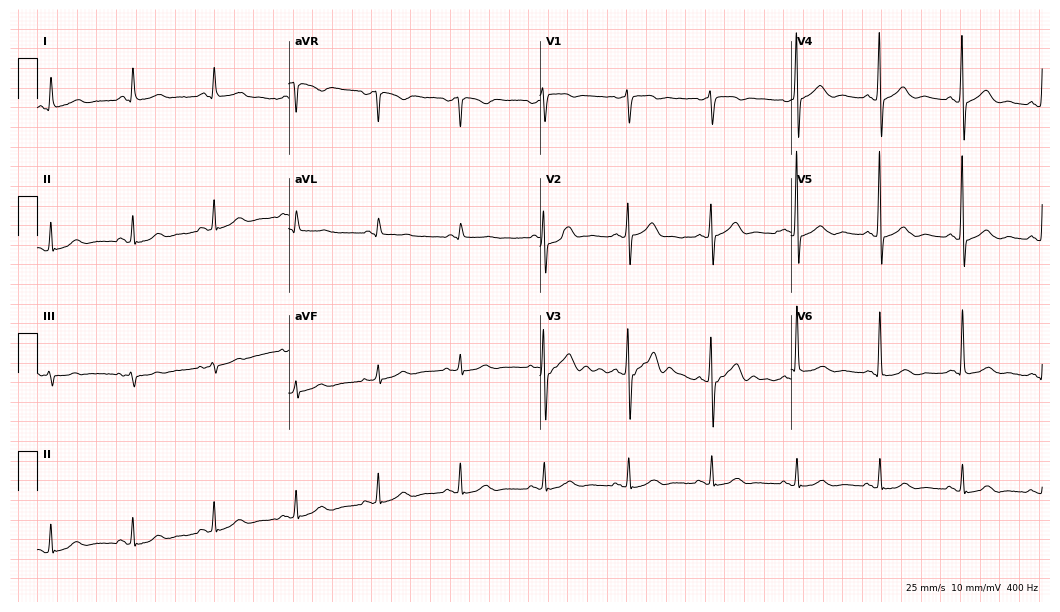
12-lead ECG from a man, 70 years old. Recorded interpretation: within normal limits.